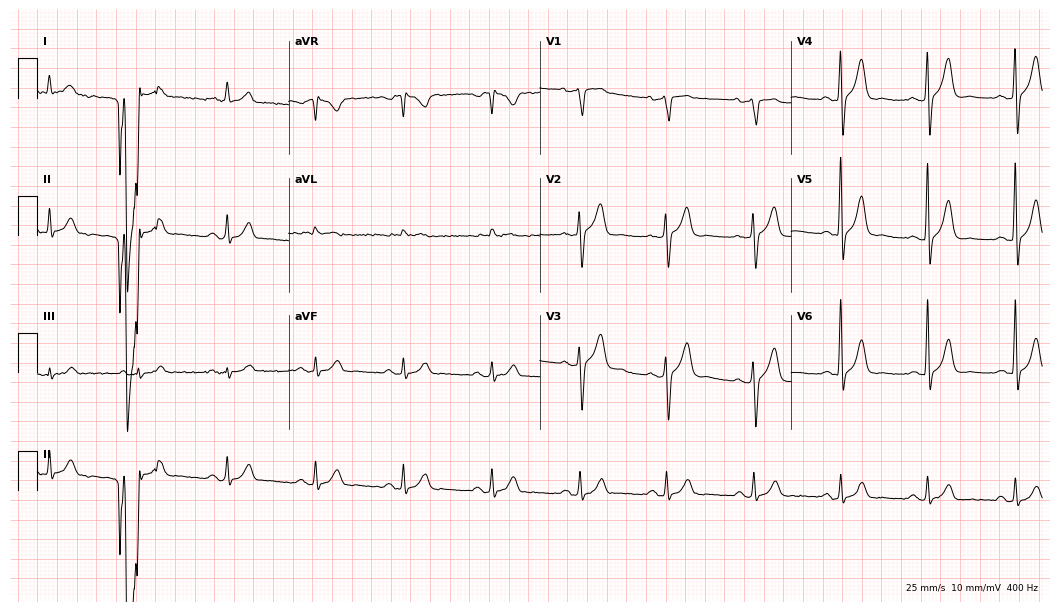
Resting 12-lead electrocardiogram. Patient: a male, 73 years old. None of these six findings is recorded: first-degree AV block, right bundle branch block, left bundle branch block, sinus bradycardia, atrial fibrillation, sinus tachycardia. Other findings, if any, are not listed.